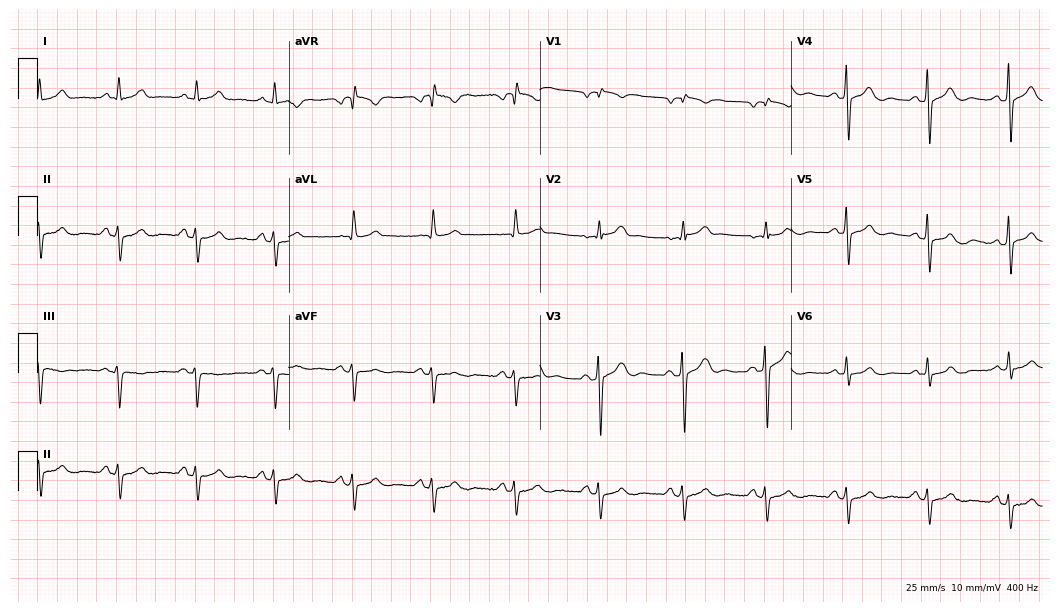
ECG — a male, 62 years old. Screened for six findings — first-degree AV block, right bundle branch block (RBBB), left bundle branch block (LBBB), sinus bradycardia, atrial fibrillation (AF), sinus tachycardia — none is recorded.